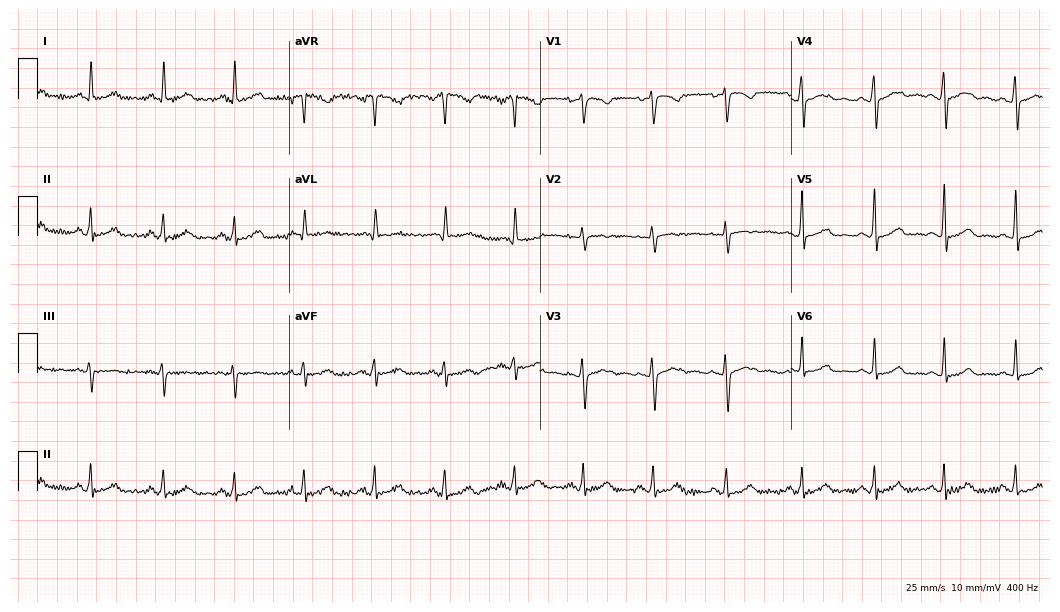
Resting 12-lead electrocardiogram (10.2-second recording at 400 Hz). Patient: a 37-year-old woman. None of these six findings is recorded: first-degree AV block, right bundle branch block (RBBB), left bundle branch block (LBBB), sinus bradycardia, atrial fibrillation (AF), sinus tachycardia. Findings outside these six are not listed.